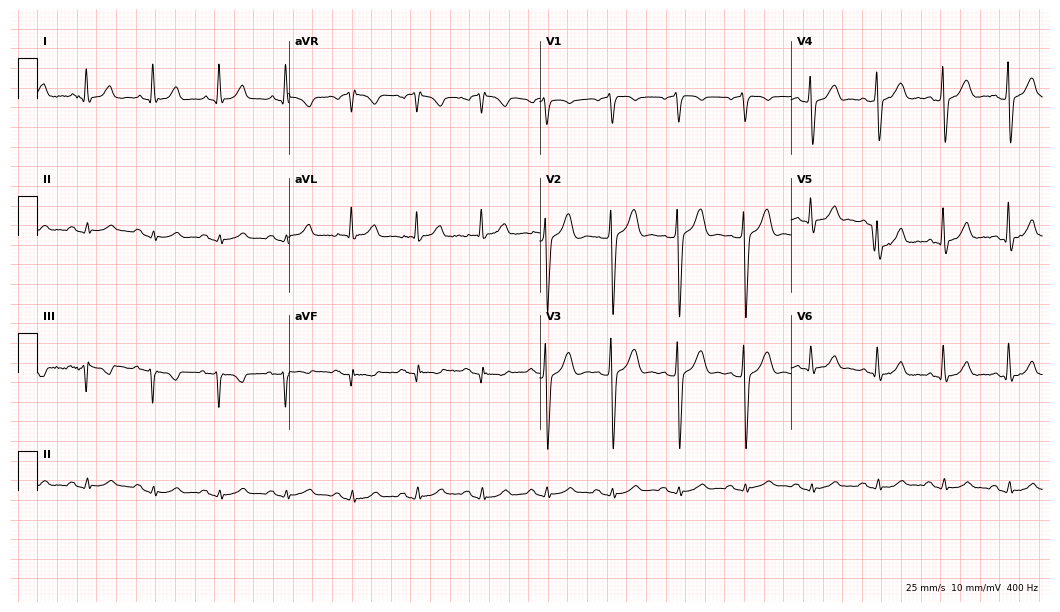
Standard 12-lead ECG recorded from a male, 74 years old. Read as a normal ECG.